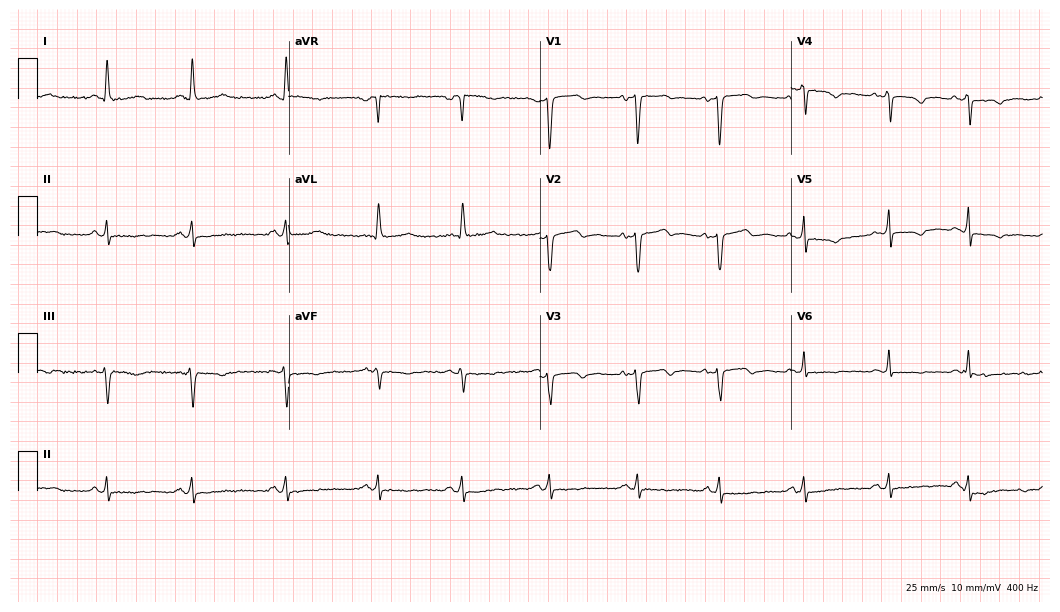
12-lead ECG from a 43-year-old female patient. No first-degree AV block, right bundle branch block (RBBB), left bundle branch block (LBBB), sinus bradycardia, atrial fibrillation (AF) or sinus tachycardia recorded for this tracing. Other findings, if any, are not listed.